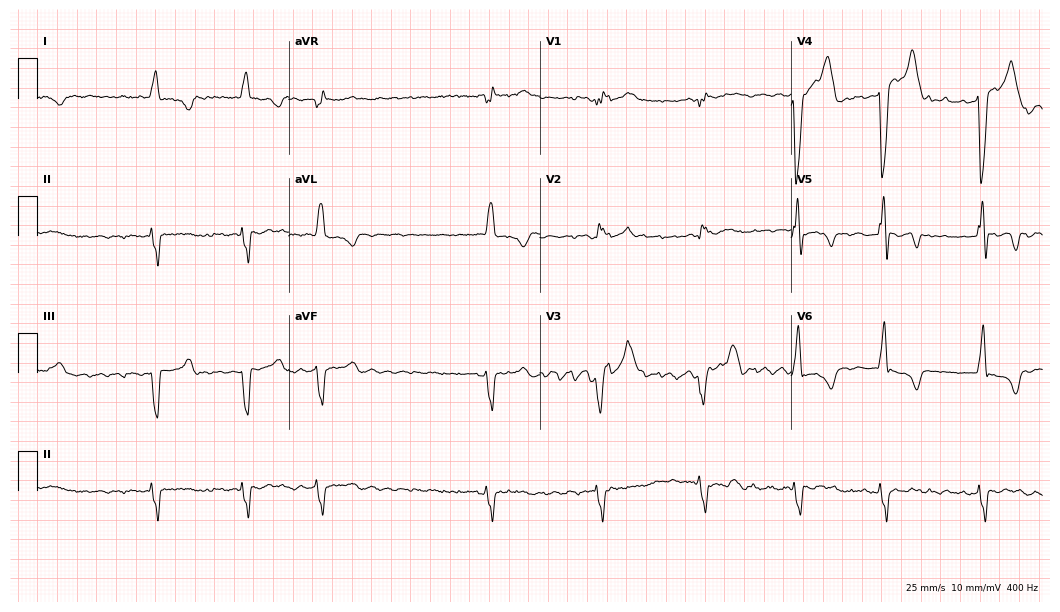
Resting 12-lead electrocardiogram. Patient: a man, 61 years old. The tracing shows atrial fibrillation.